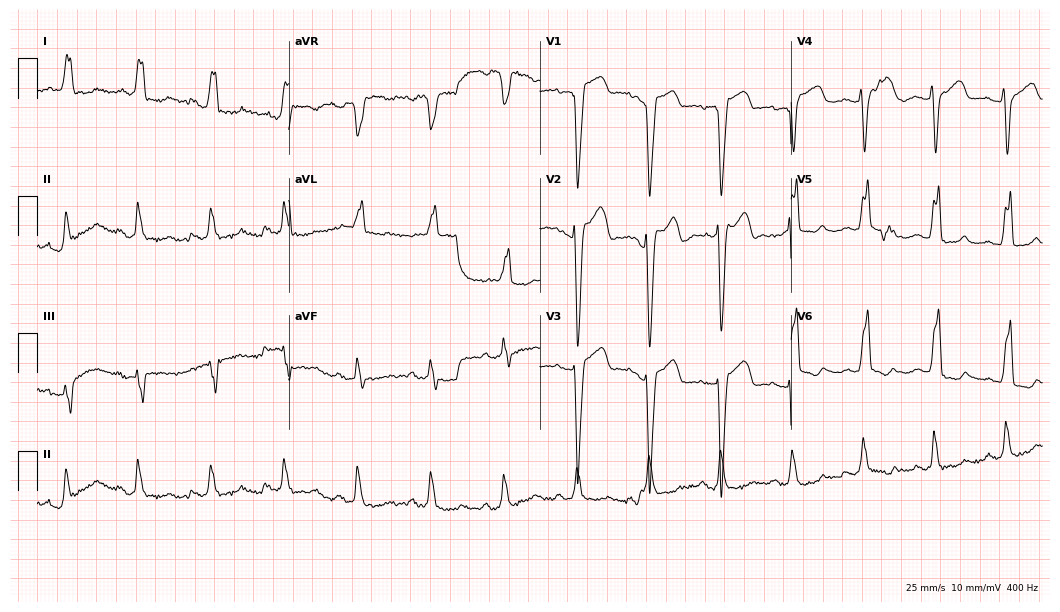
Electrocardiogram (10.2-second recording at 400 Hz), a woman, 77 years old. Interpretation includes left bundle branch block (LBBB).